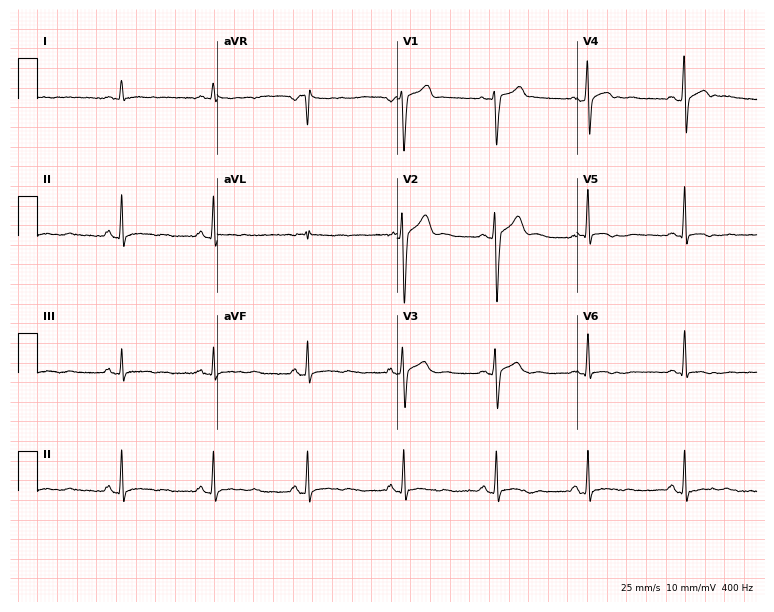
12-lead ECG from a man, 54 years old. No first-degree AV block, right bundle branch block, left bundle branch block, sinus bradycardia, atrial fibrillation or sinus tachycardia recorded for this tracing.